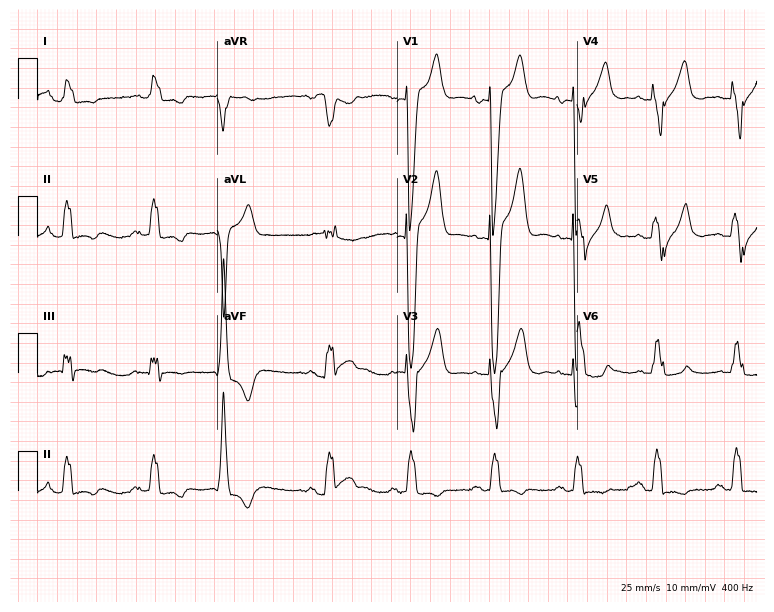
Resting 12-lead electrocardiogram. Patient: a male, 75 years old. The tracing shows left bundle branch block (LBBB).